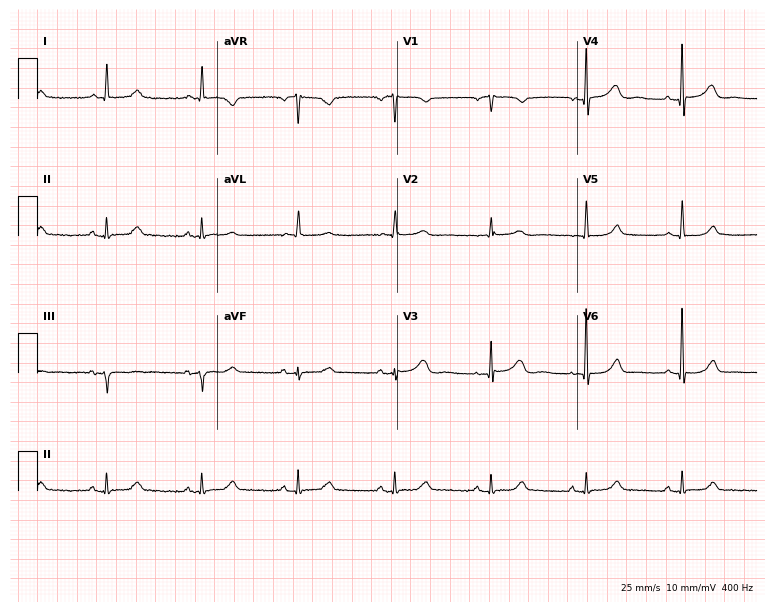
Standard 12-lead ECG recorded from an 84-year-old female (7.3-second recording at 400 Hz). Read as a normal ECG.